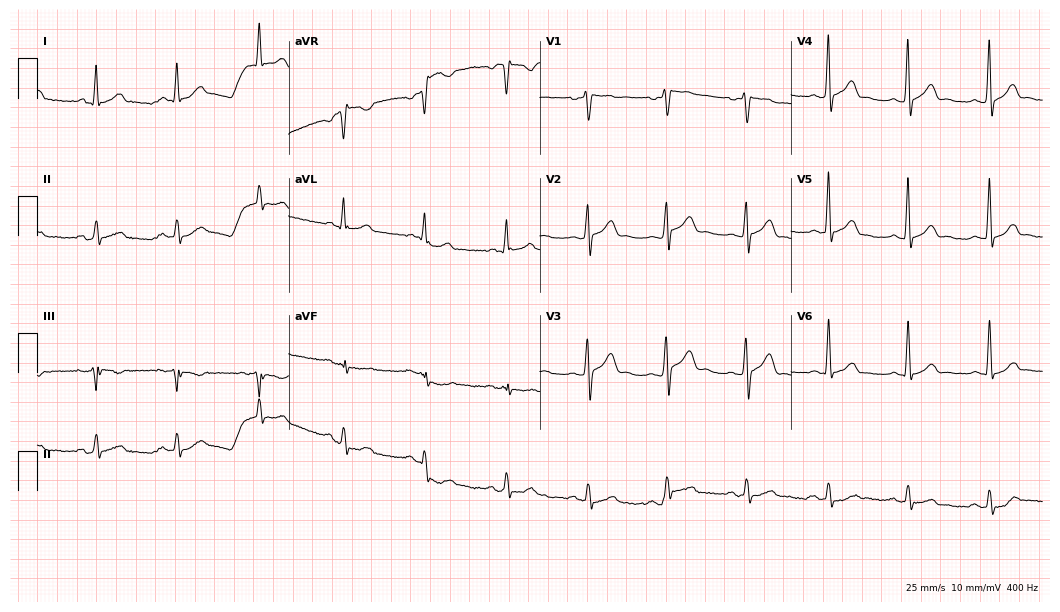
12-lead ECG from a 30-year-old man. Recorded interpretation: within normal limits.